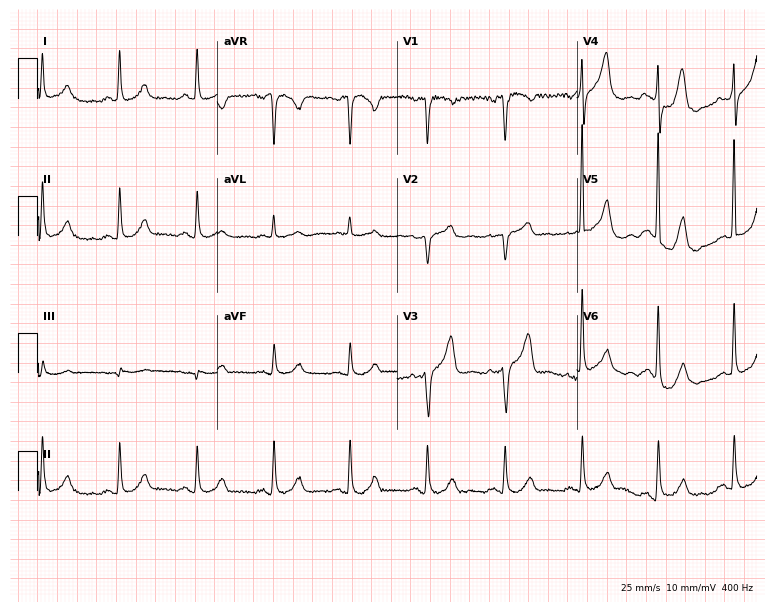
ECG (7.3-second recording at 400 Hz) — a 76-year-old female patient. Screened for six findings — first-degree AV block, right bundle branch block (RBBB), left bundle branch block (LBBB), sinus bradycardia, atrial fibrillation (AF), sinus tachycardia — none is recorded.